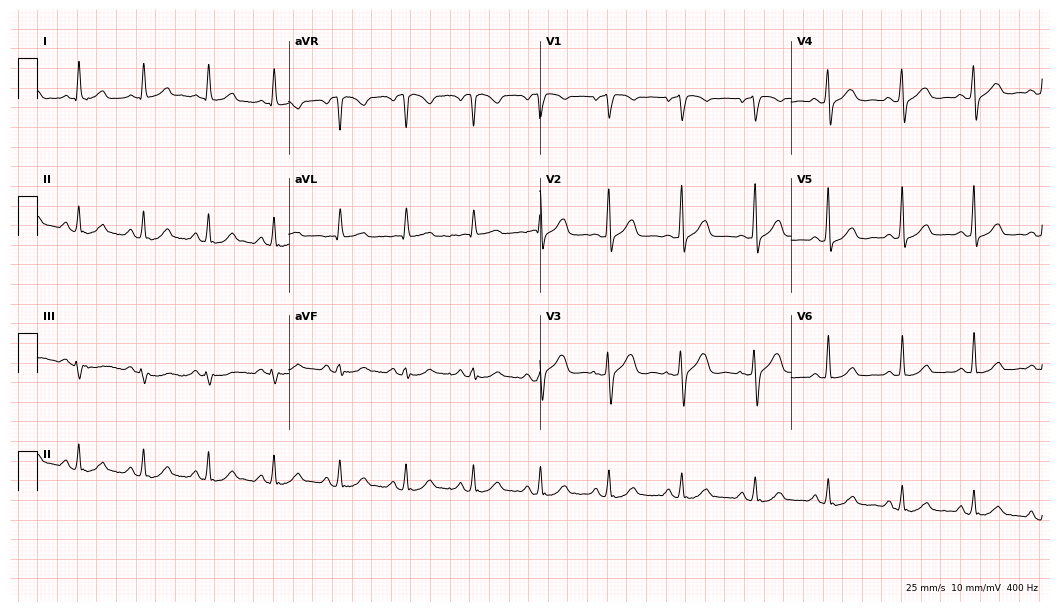
Standard 12-lead ECG recorded from a 63-year-old female (10.2-second recording at 400 Hz). None of these six findings is recorded: first-degree AV block, right bundle branch block, left bundle branch block, sinus bradycardia, atrial fibrillation, sinus tachycardia. Findings outside these six are not listed.